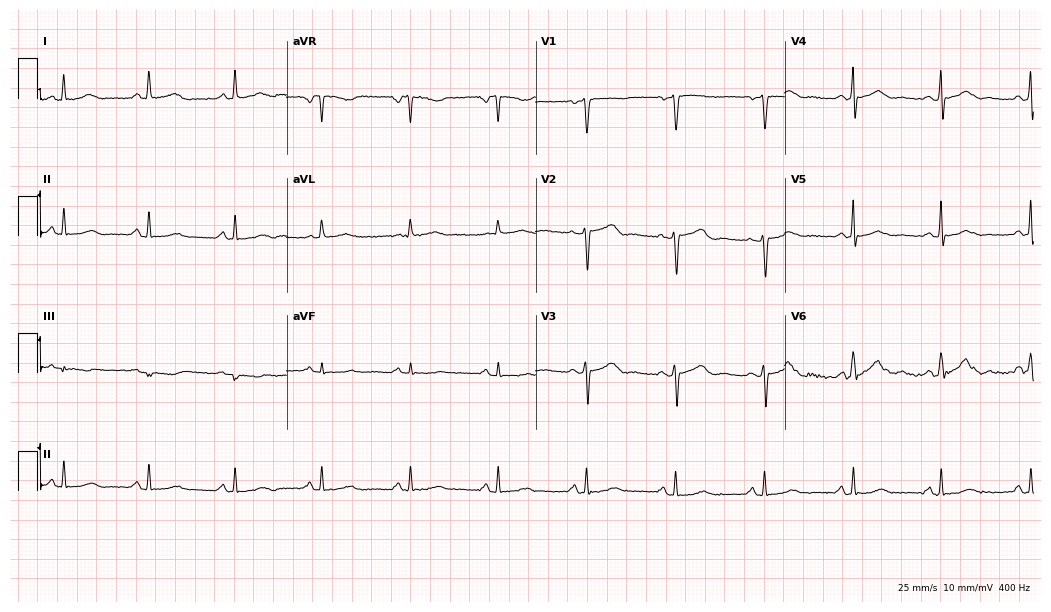
Standard 12-lead ECG recorded from a 53-year-old female patient. Read as a normal ECG.